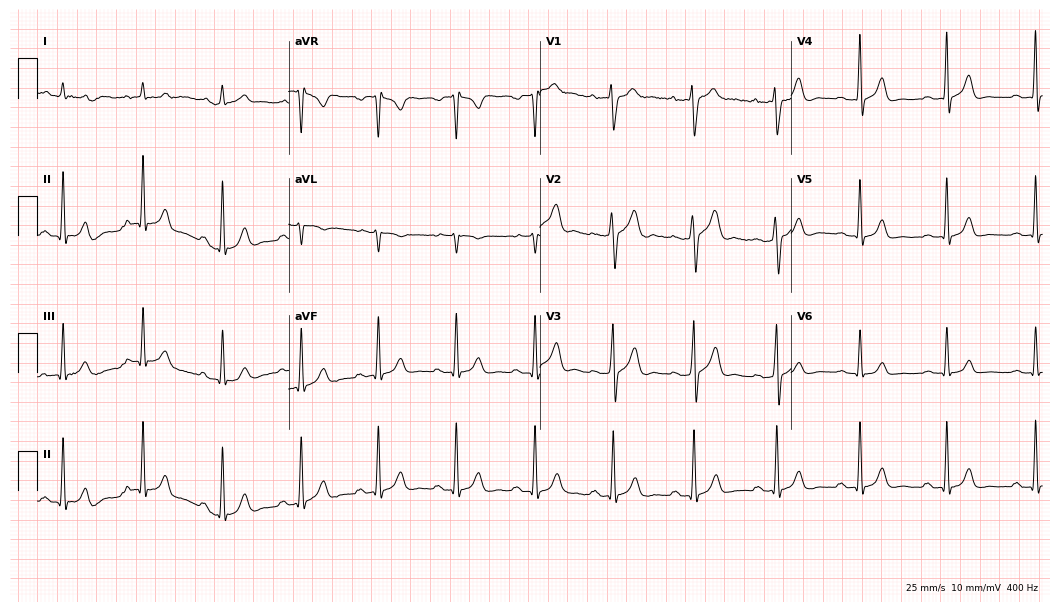
Resting 12-lead electrocardiogram. Patient: a man, 31 years old. Read as a normal ECG.